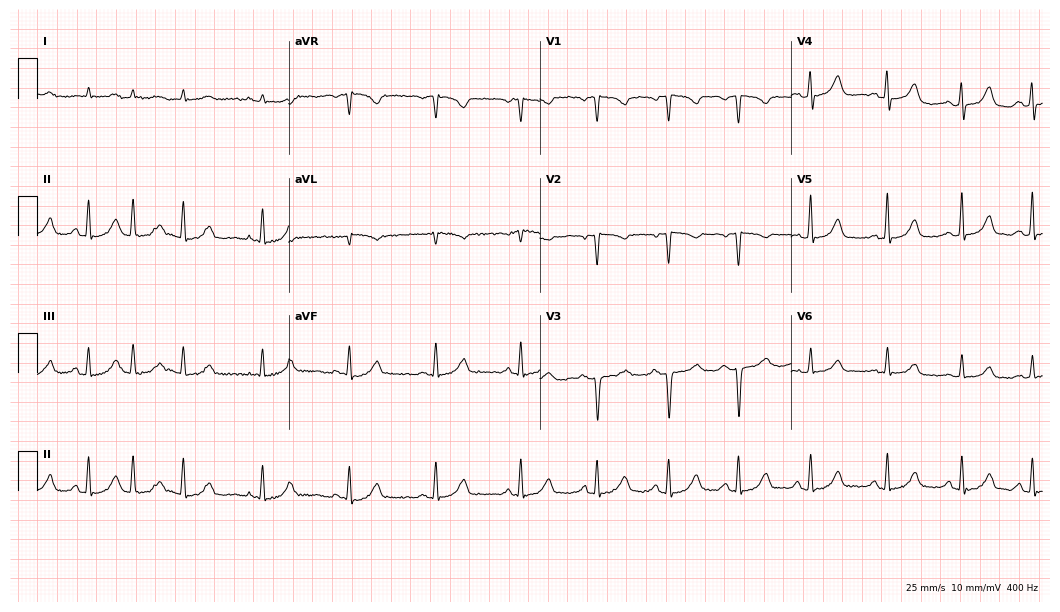
12-lead ECG (10.2-second recording at 400 Hz) from a 77-year-old female patient. Screened for six findings — first-degree AV block, right bundle branch block (RBBB), left bundle branch block (LBBB), sinus bradycardia, atrial fibrillation (AF), sinus tachycardia — none is recorded.